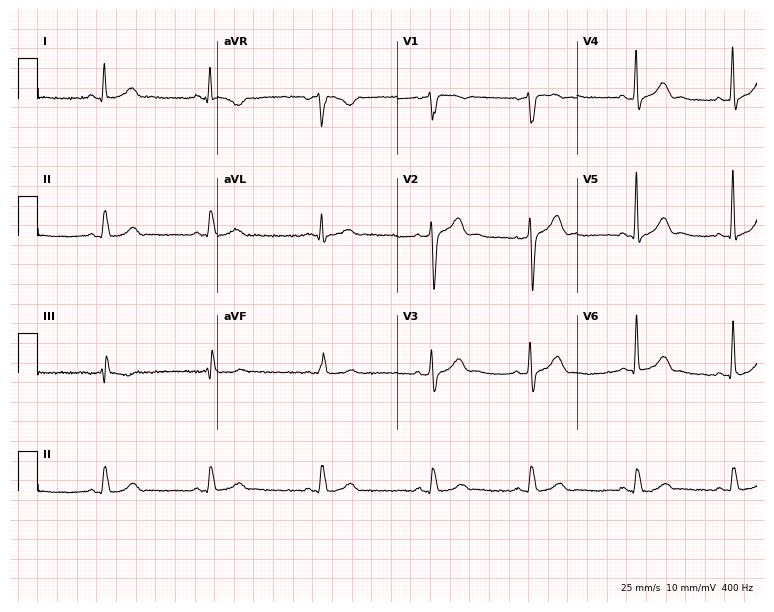
Resting 12-lead electrocardiogram (7.3-second recording at 400 Hz). Patient: a 48-year-old male. Read as a normal ECG.